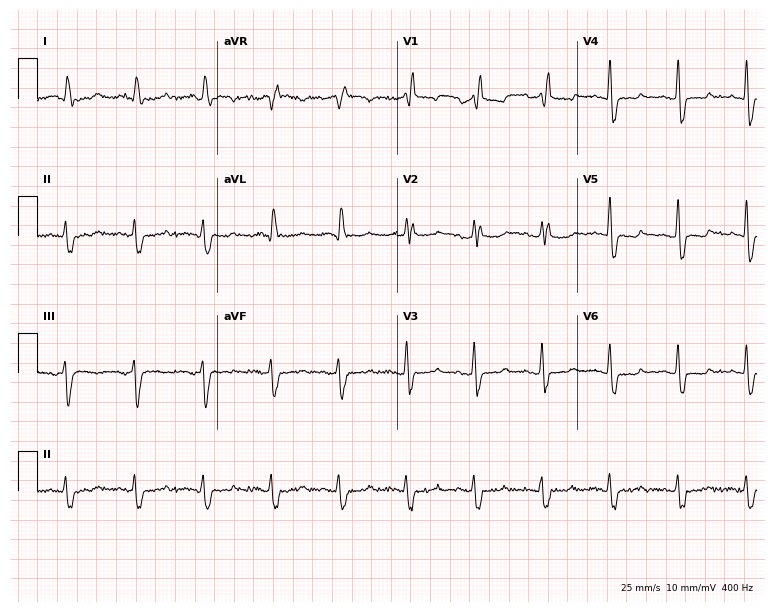
ECG — a 61-year-old woman. Findings include right bundle branch block.